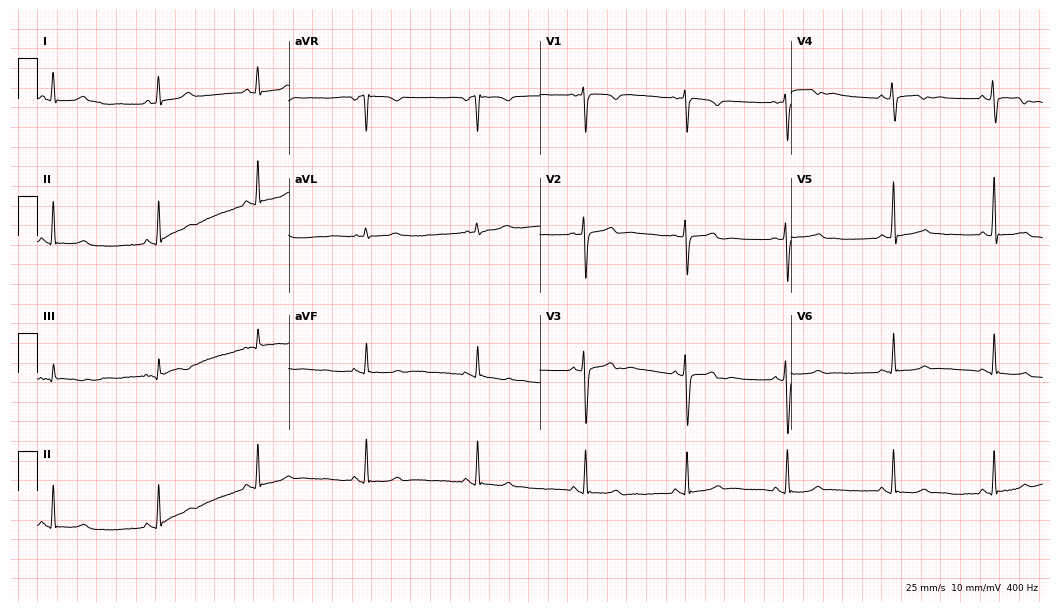
12-lead ECG (10.2-second recording at 400 Hz) from a female patient, 25 years old. Labelled as a normal ECG.